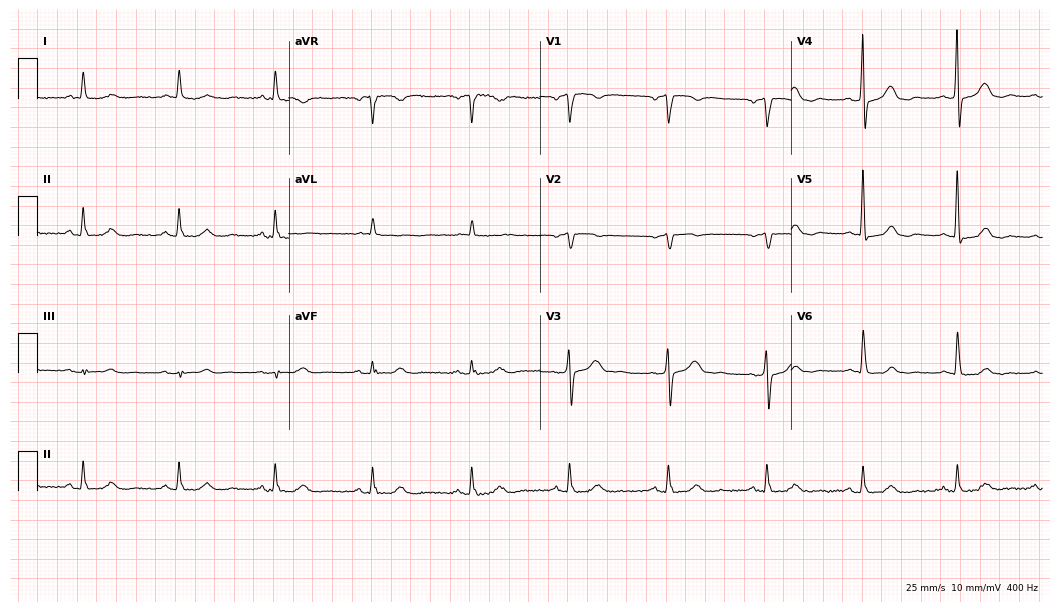
Standard 12-lead ECG recorded from a male, 84 years old (10.2-second recording at 400 Hz). Read as a normal ECG.